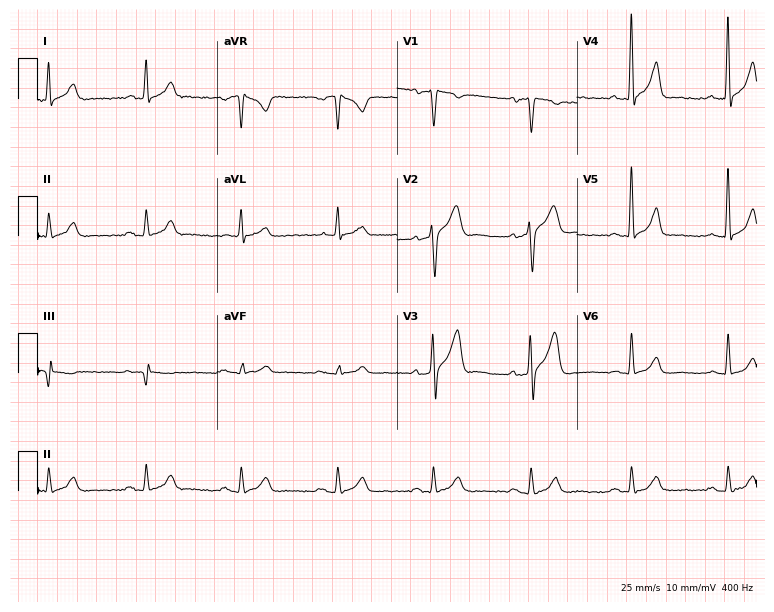
ECG — a male, 62 years old. Screened for six findings — first-degree AV block, right bundle branch block, left bundle branch block, sinus bradycardia, atrial fibrillation, sinus tachycardia — none is recorded. Findings outside these six are not listed.